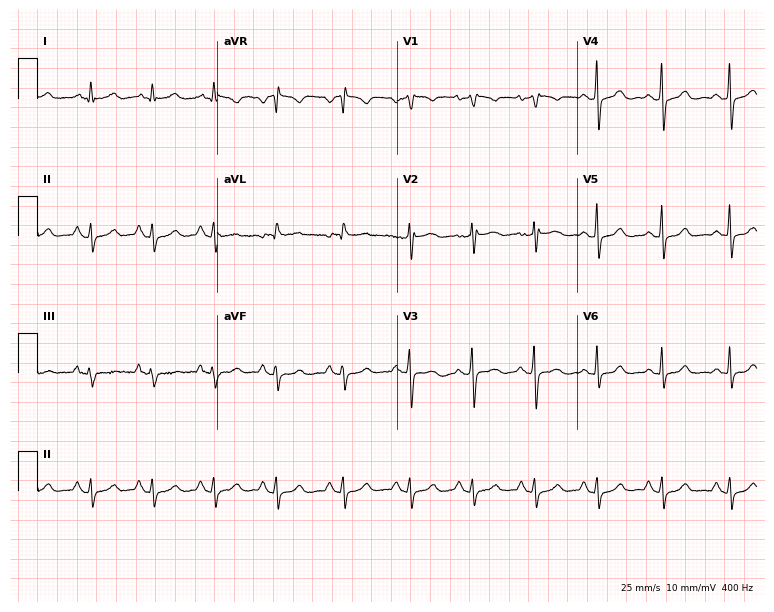
Electrocardiogram, a female, 65 years old. Of the six screened findings (first-degree AV block, right bundle branch block (RBBB), left bundle branch block (LBBB), sinus bradycardia, atrial fibrillation (AF), sinus tachycardia), none is recorded.